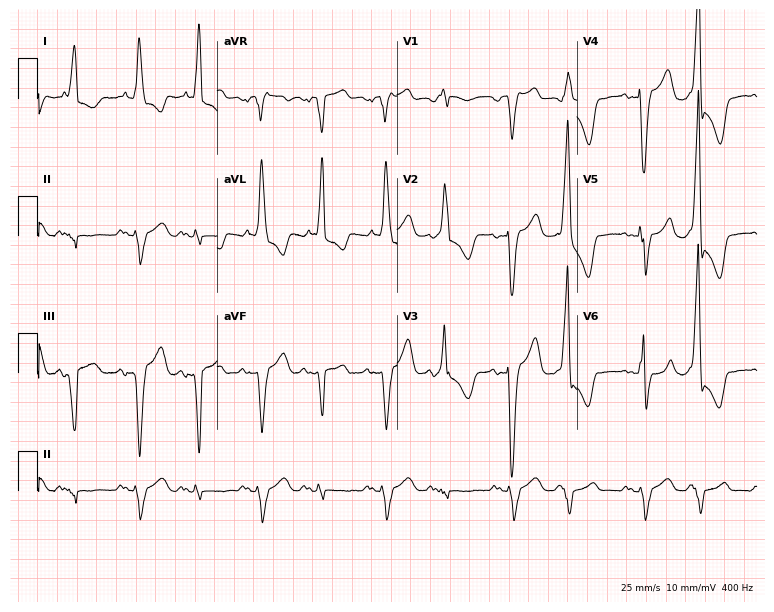
Resting 12-lead electrocardiogram (7.3-second recording at 400 Hz). Patient: a man, 84 years old. The tracing shows left bundle branch block.